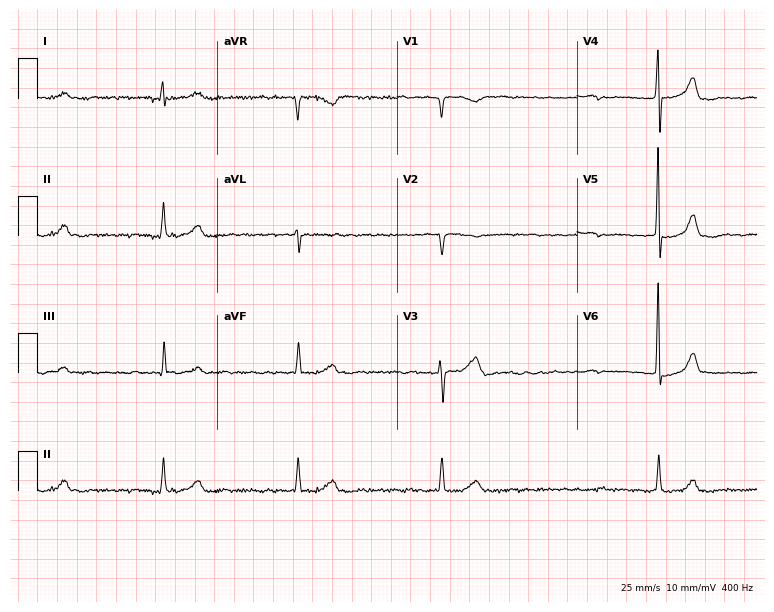
Electrocardiogram, a 61-year-old woman. Interpretation includes atrial fibrillation.